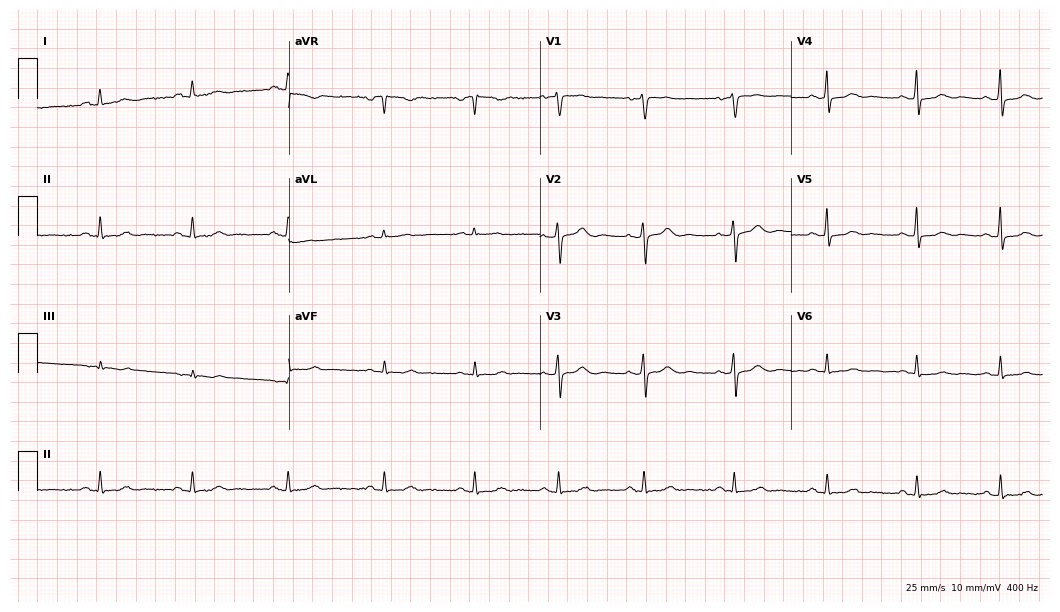
Resting 12-lead electrocardiogram (10.2-second recording at 400 Hz). Patient: a female, 53 years old. None of these six findings is recorded: first-degree AV block, right bundle branch block, left bundle branch block, sinus bradycardia, atrial fibrillation, sinus tachycardia. Other findings, if any, are not listed.